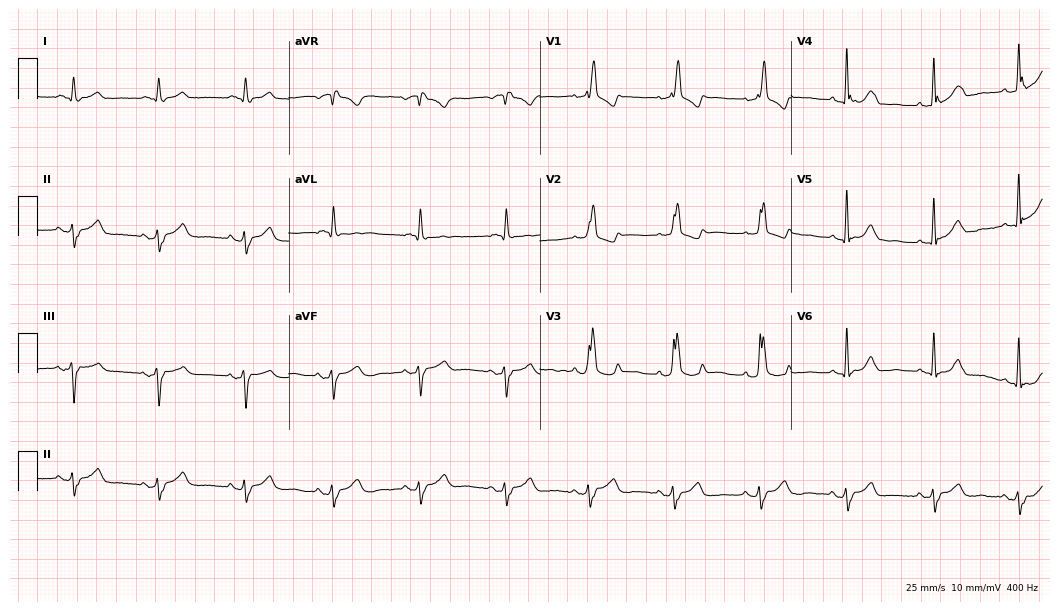
Electrocardiogram, an 85-year-old female. Interpretation includes right bundle branch block (RBBB).